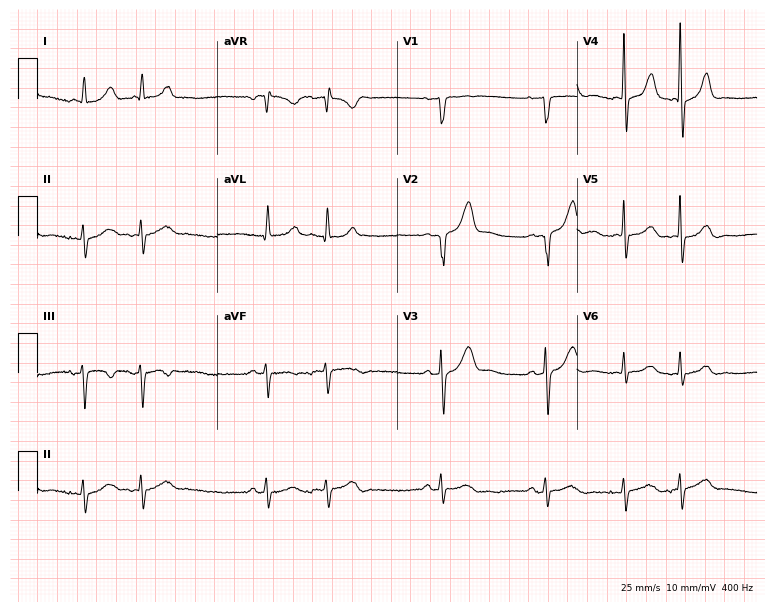
ECG (7.3-second recording at 400 Hz) — a man, 68 years old. Screened for six findings — first-degree AV block, right bundle branch block (RBBB), left bundle branch block (LBBB), sinus bradycardia, atrial fibrillation (AF), sinus tachycardia — none is recorded. Only these six findings were labelled.